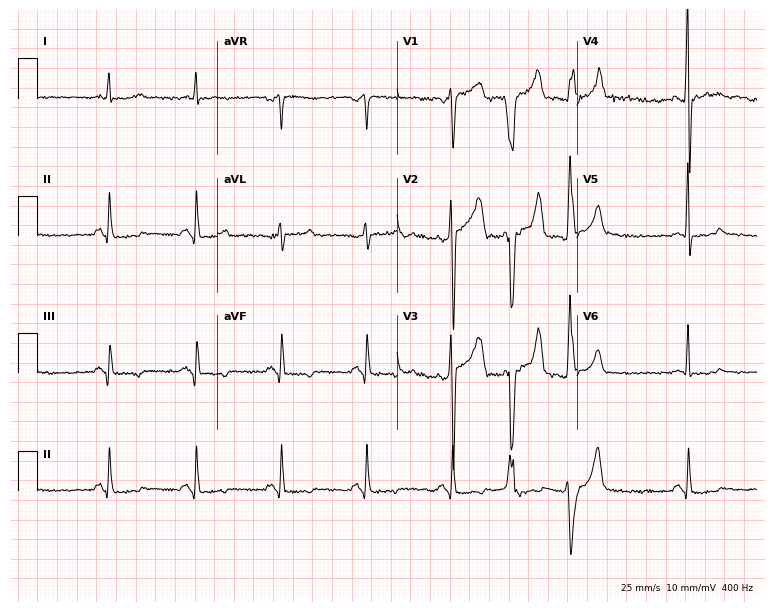
Electrocardiogram (7.3-second recording at 400 Hz), a male, 66 years old. Of the six screened findings (first-degree AV block, right bundle branch block, left bundle branch block, sinus bradycardia, atrial fibrillation, sinus tachycardia), none is recorded.